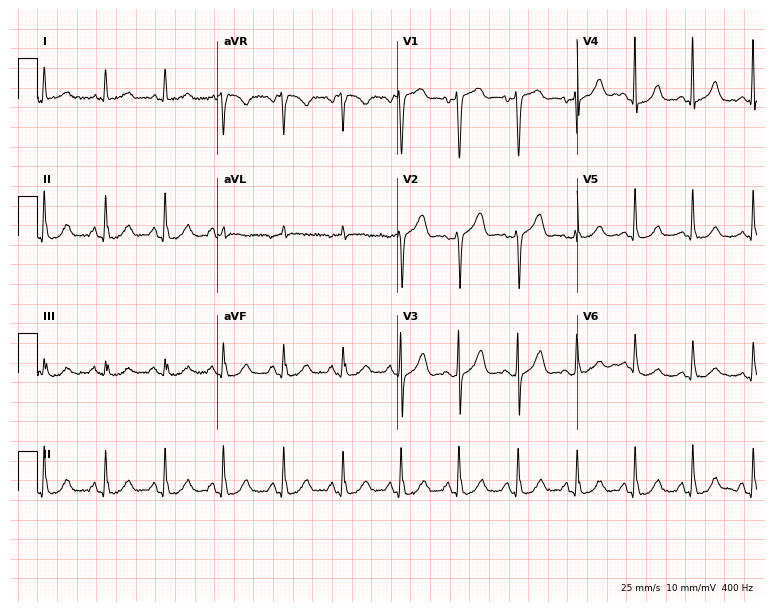
12-lead ECG from a 65-year-old female patient (7.3-second recording at 400 Hz). No first-degree AV block, right bundle branch block, left bundle branch block, sinus bradycardia, atrial fibrillation or sinus tachycardia recorded for this tracing. Other findings, if any, are not listed.